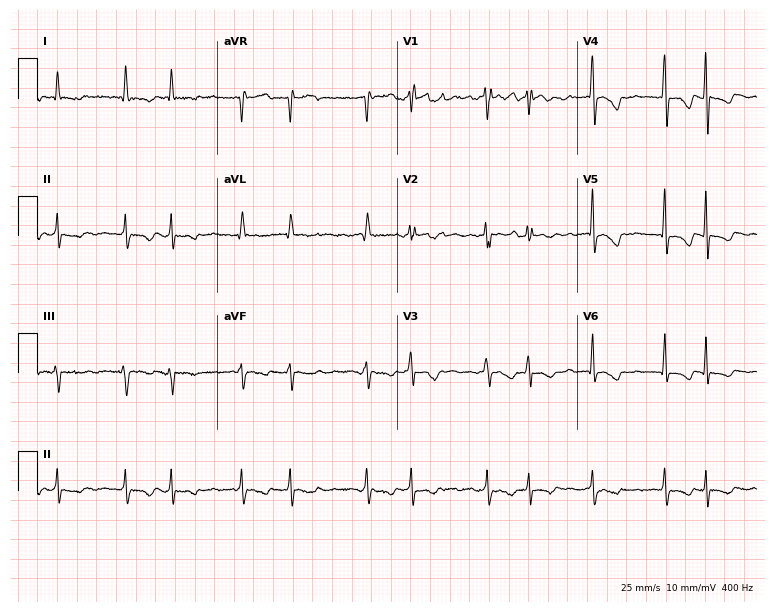
Electrocardiogram, a 67-year-old female patient. Interpretation includes atrial fibrillation (AF).